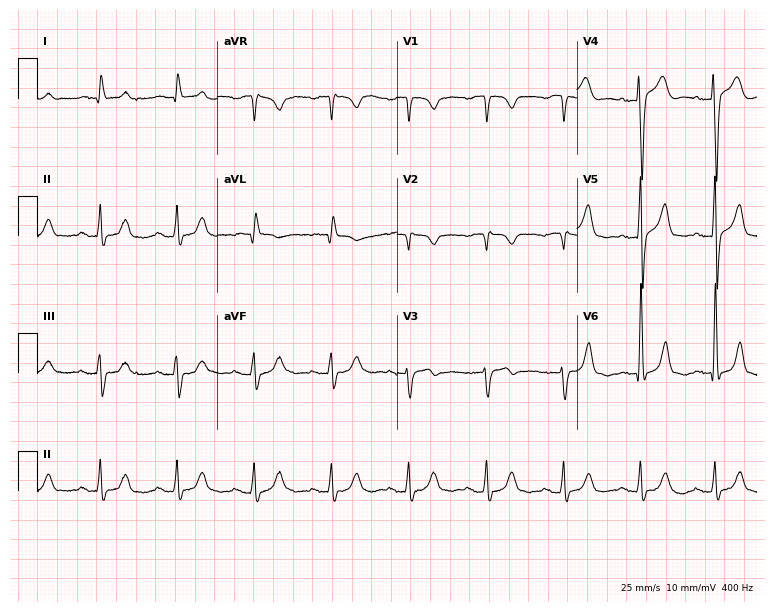
12-lead ECG from a 66-year-old man. Recorded interpretation: within normal limits.